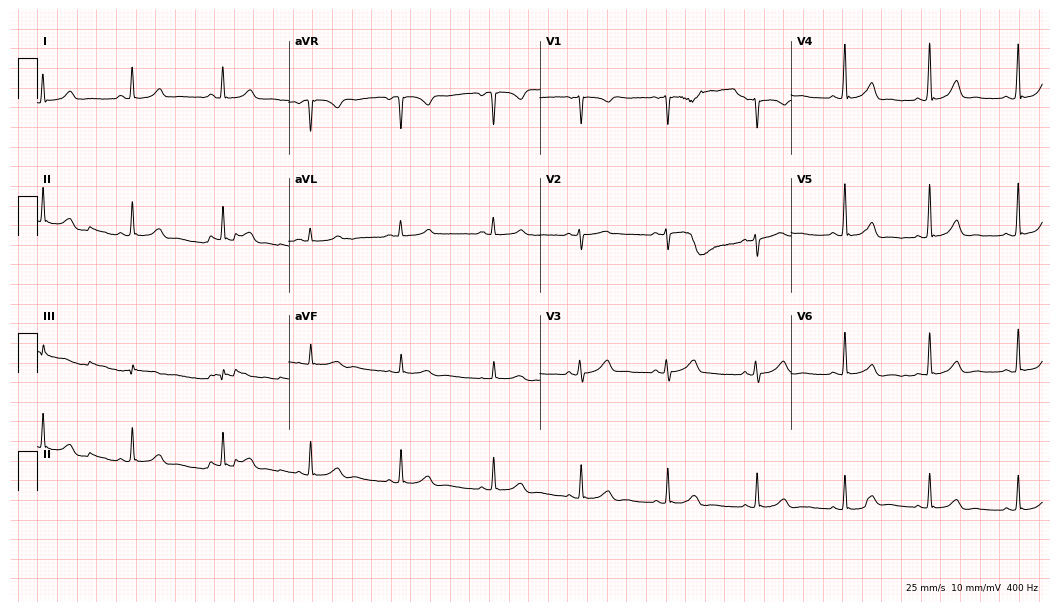
Electrocardiogram, a female, 31 years old. Overall reading on record: normal ECG.